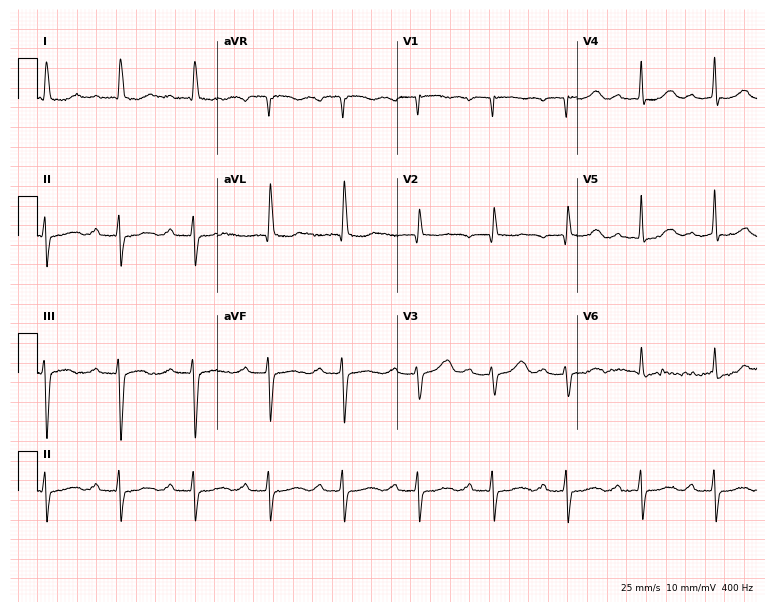
Electrocardiogram (7.3-second recording at 400 Hz), a 71-year-old woman. Interpretation includes first-degree AV block.